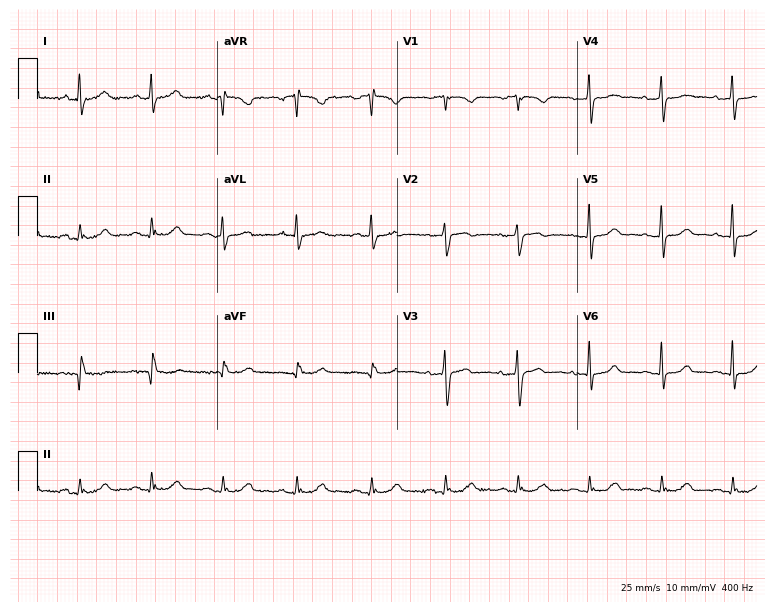
12-lead ECG from a 56-year-old female. Screened for six findings — first-degree AV block, right bundle branch block (RBBB), left bundle branch block (LBBB), sinus bradycardia, atrial fibrillation (AF), sinus tachycardia — none is recorded.